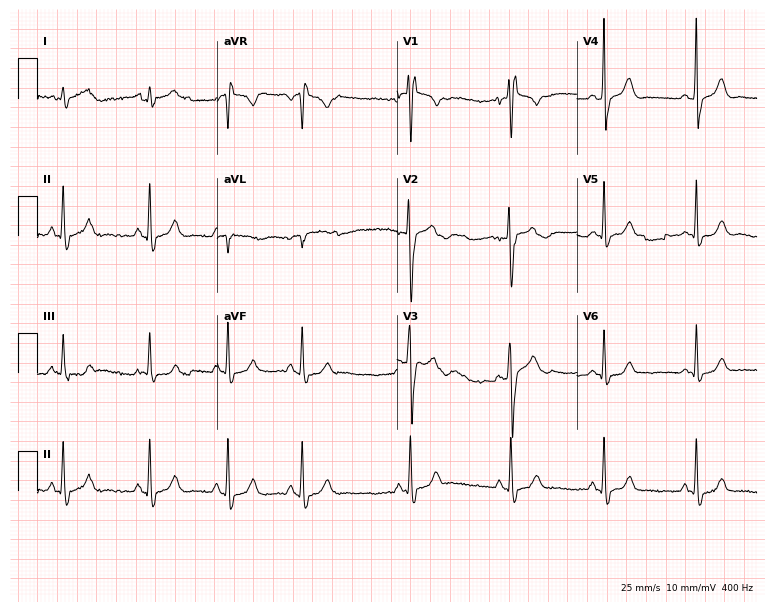
12-lead ECG from a man, 21 years old (7.3-second recording at 400 Hz). No first-degree AV block, right bundle branch block (RBBB), left bundle branch block (LBBB), sinus bradycardia, atrial fibrillation (AF) or sinus tachycardia recorded for this tracing. Findings outside these six are not listed.